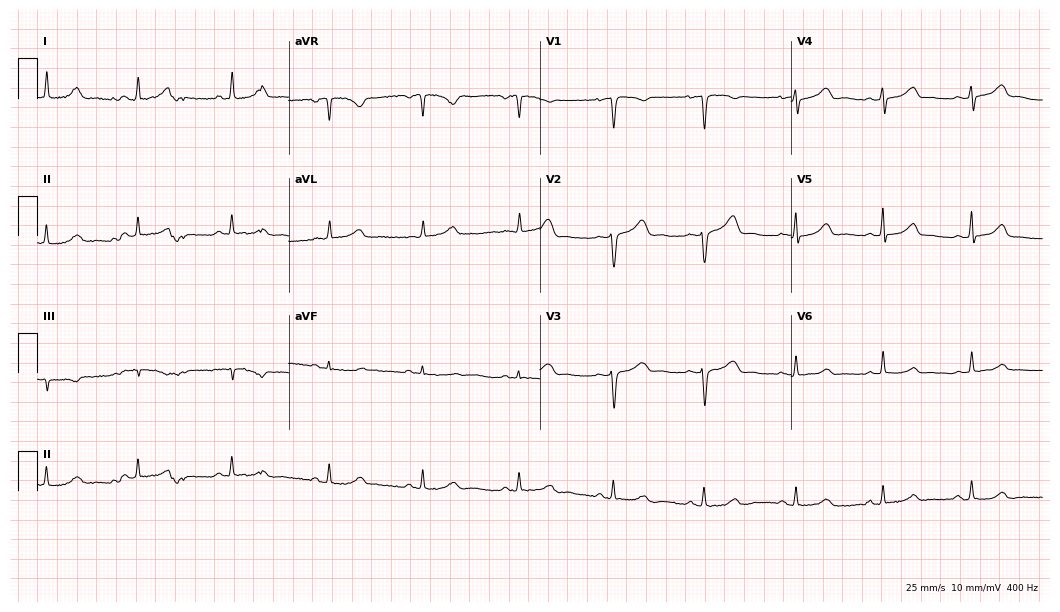
Standard 12-lead ECG recorded from a 48-year-old woman (10.2-second recording at 400 Hz). Read as a normal ECG.